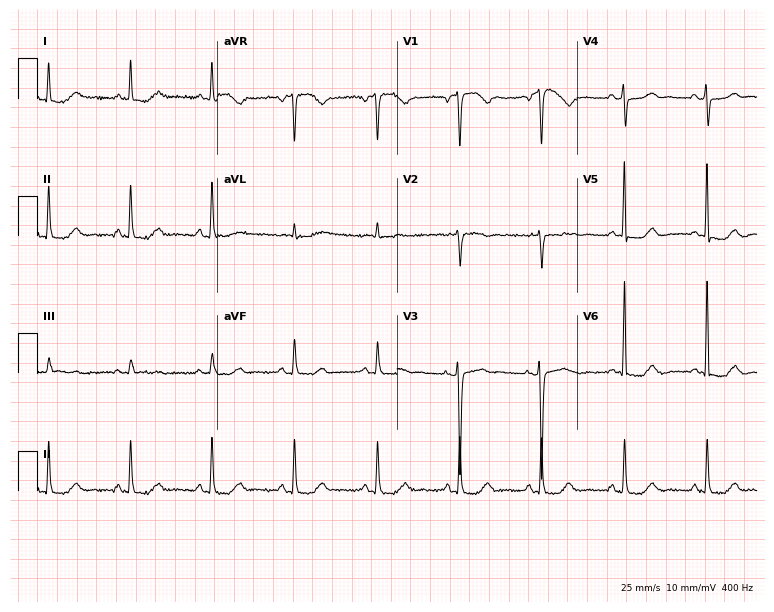
Resting 12-lead electrocardiogram (7.3-second recording at 400 Hz). Patient: a 71-year-old female. Read as a normal ECG.